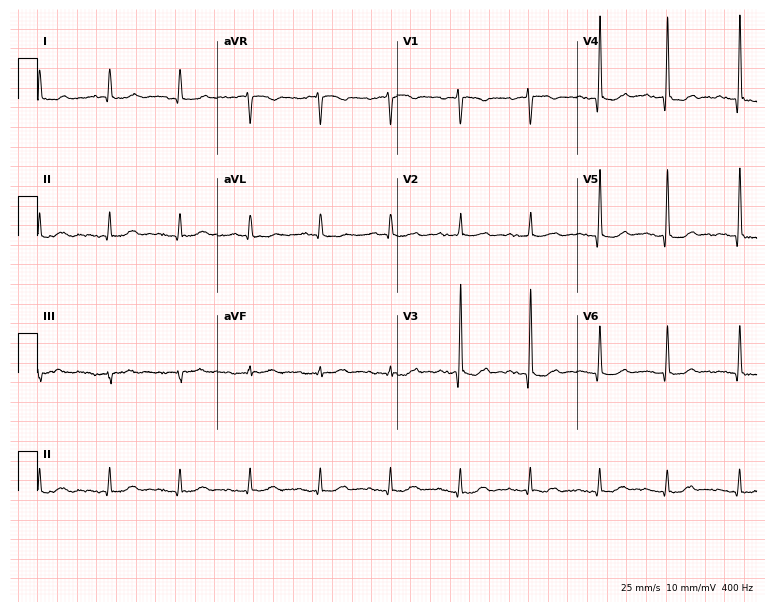
ECG — a male, 70 years old. Screened for six findings — first-degree AV block, right bundle branch block (RBBB), left bundle branch block (LBBB), sinus bradycardia, atrial fibrillation (AF), sinus tachycardia — none is recorded.